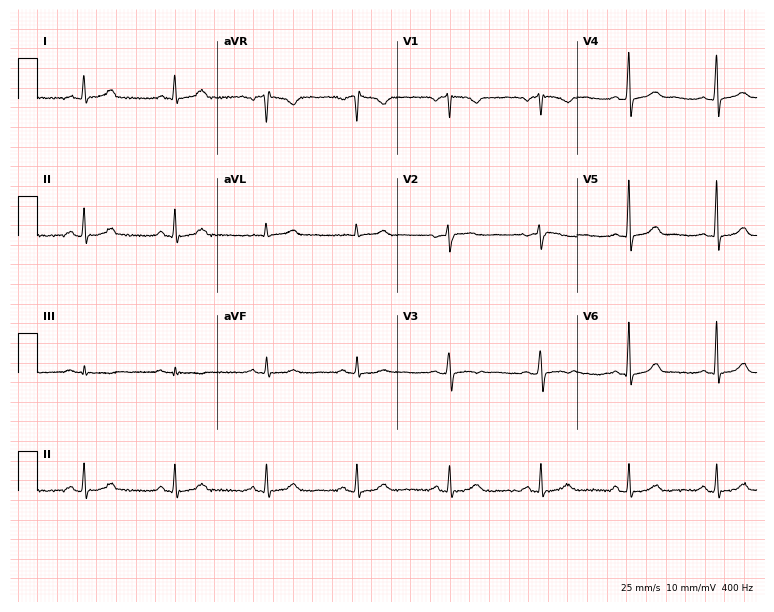
Electrocardiogram, a 48-year-old female. Overall reading on record: normal ECG.